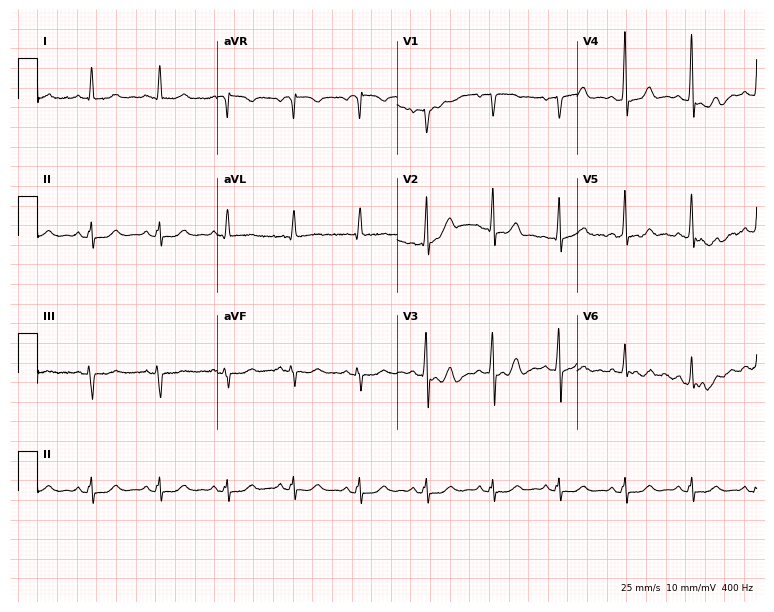
ECG (7.3-second recording at 400 Hz) — a man, 79 years old. Screened for six findings — first-degree AV block, right bundle branch block, left bundle branch block, sinus bradycardia, atrial fibrillation, sinus tachycardia — none is recorded. Only these six findings were labelled.